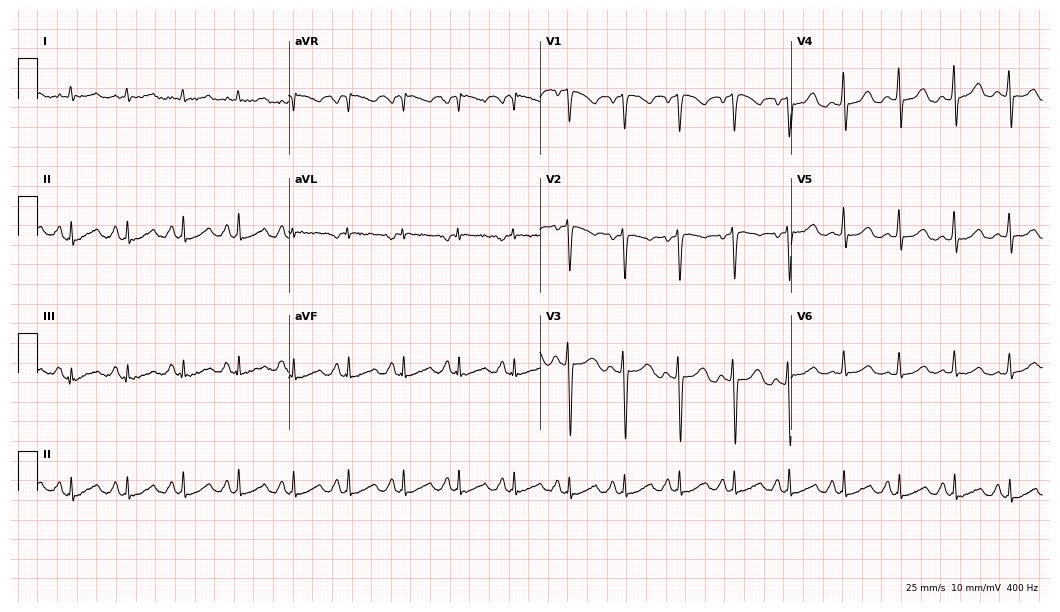
ECG — a 48-year-old female patient. Findings include sinus tachycardia (a sinus rate of 100 beats per minute or more).